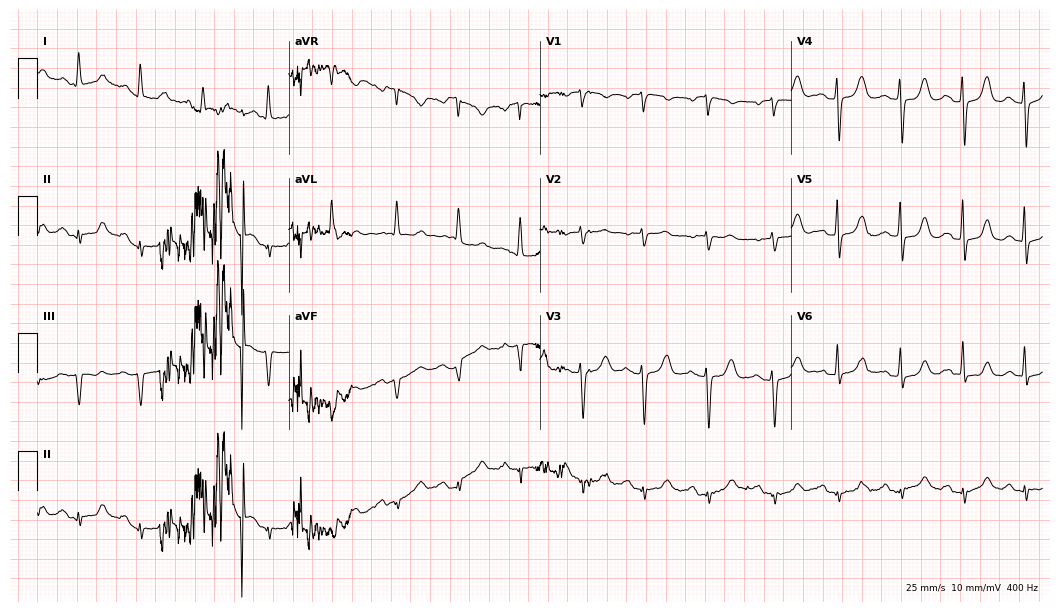
Standard 12-lead ECG recorded from an 81-year-old woman (10.2-second recording at 400 Hz). None of these six findings is recorded: first-degree AV block, right bundle branch block, left bundle branch block, sinus bradycardia, atrial fibrillation, sinus tachycardia. Only these six findings were labelled.